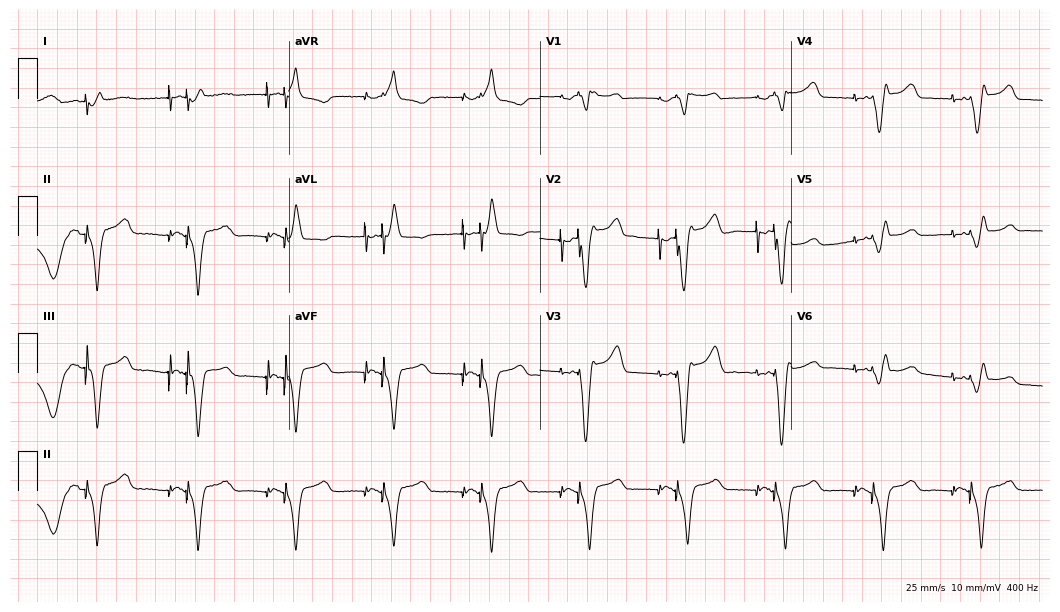
Electrocardiogram, a man, 60 years old. Of the six screened findings (first-degree AV block, right bundle branch block (RBBB), left bundle branch block (LBBB), sinus bradycardia, atrial fibrillation (AF), sinus tachycardia), none is recorded.